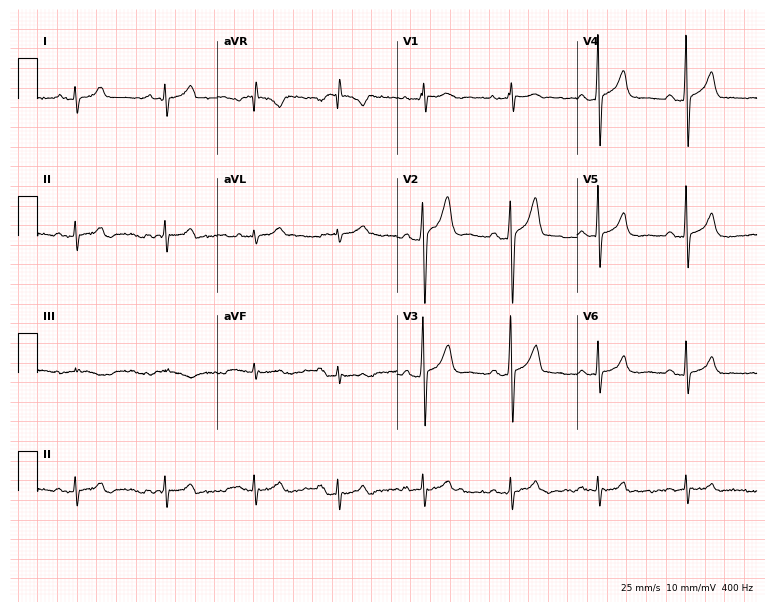
Resting 12-lead electrocardiogram. Patient: a 37-year-old male. Read as a normal ECG.